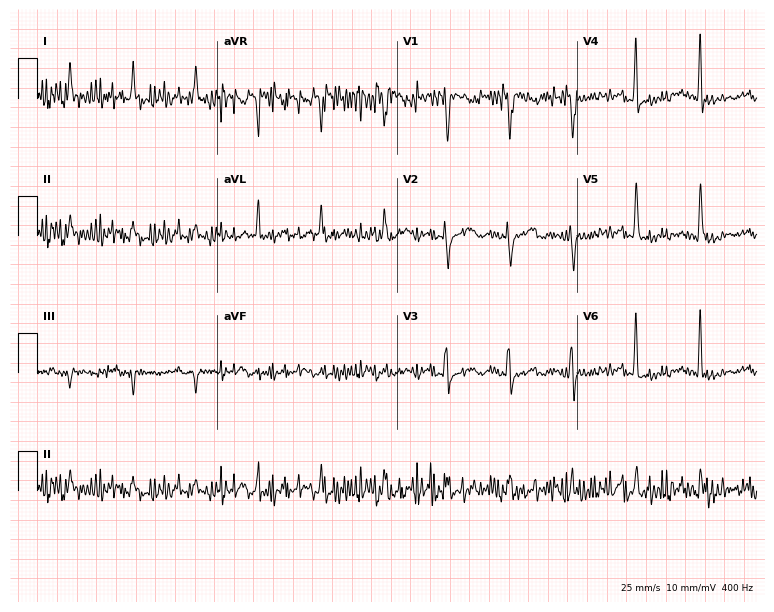
Resting 12-lead electrocardiogram (7.3-second recording at 400 Hz). Patient: a 69-year-old male. None of these six findings is recorded: first-degree AV block, right bundle branch block (RBBB), left bundle branch block (LBBB), sinus bradycardia, atrial fibrillation (AF), sinus tachycardia. Findings outside these six are not listed.